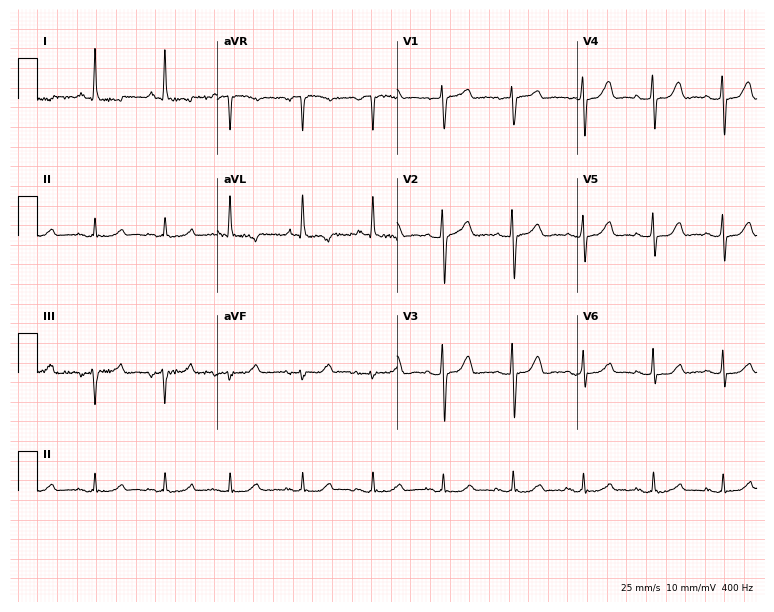
12-lead ECG from a 69-year-old woman (7.3-second recording at 400 Hz). No first-degree AV block, right bundle branch block (RBBB), left bundle branch block (LBBB), sinus bradycardia, atrial fibrillation (AF) or sinus tachycardia recorded for this tracing.